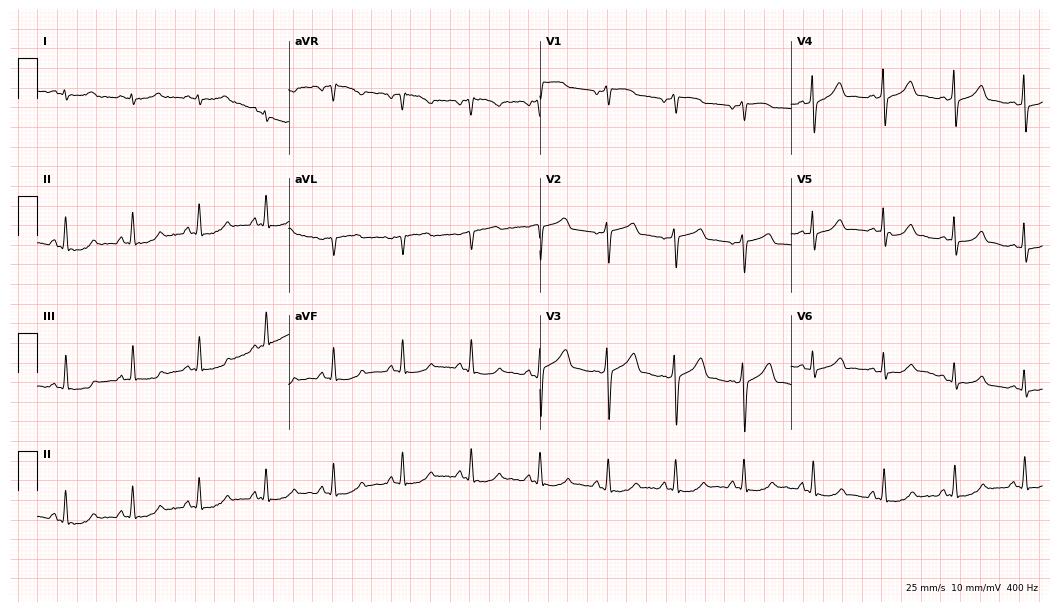
ECG — a male, 65 years old. Labelled as a normal ECG.